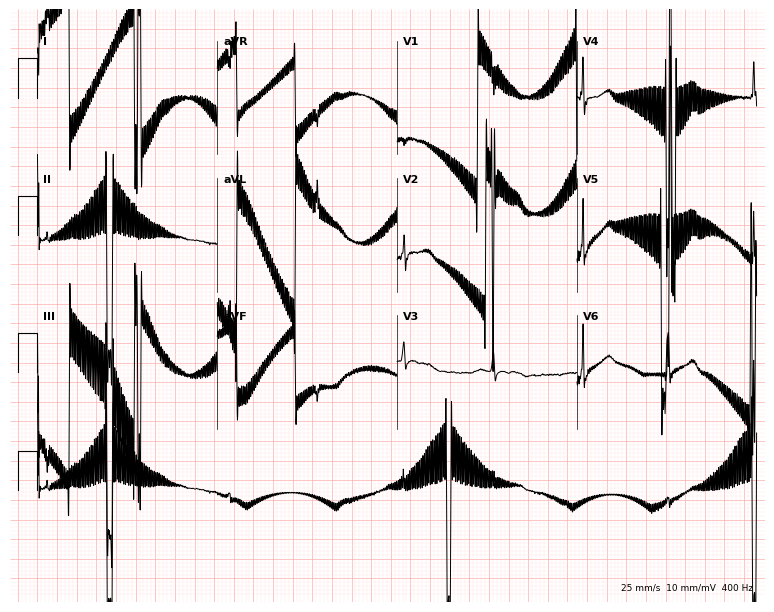
ECG — a man, 58 years old. Screened for six findings — first-degree AV block, right bundle branch block, left bundle branch block, sinus bradycardia, atrial fibrillation, sinus tachycardia — none is recorded.